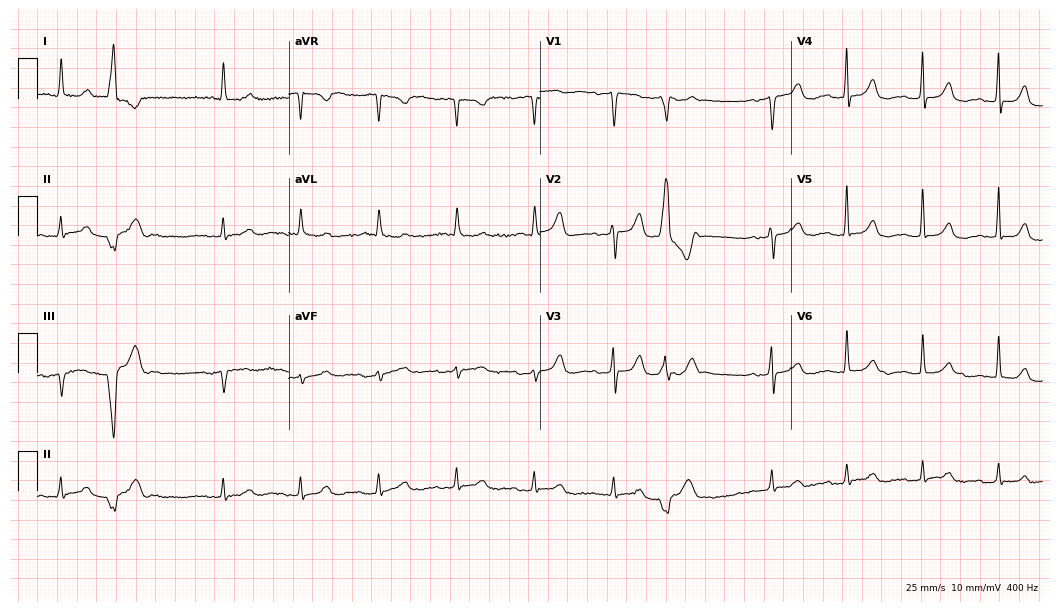
Electrocardiogram (10.2-second recording at 400 Hz), an 85-year-old female. Of the six screened findings (first-degree AV block, right bundle branch block (RBBB), left bundle branch block (LBBB), sinus bradycardia, atrial fibrillation (AF), sinus tachycardia), none is recorded.